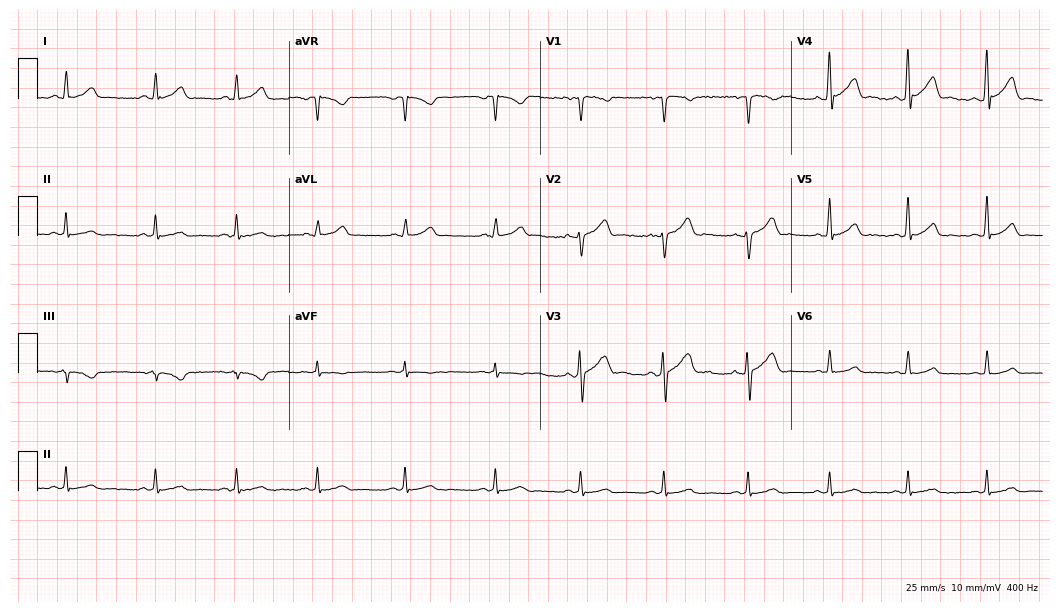
Resting 12-lead electrocardiogram. Patient: a 25-year-old male. Read as a normal ECG.